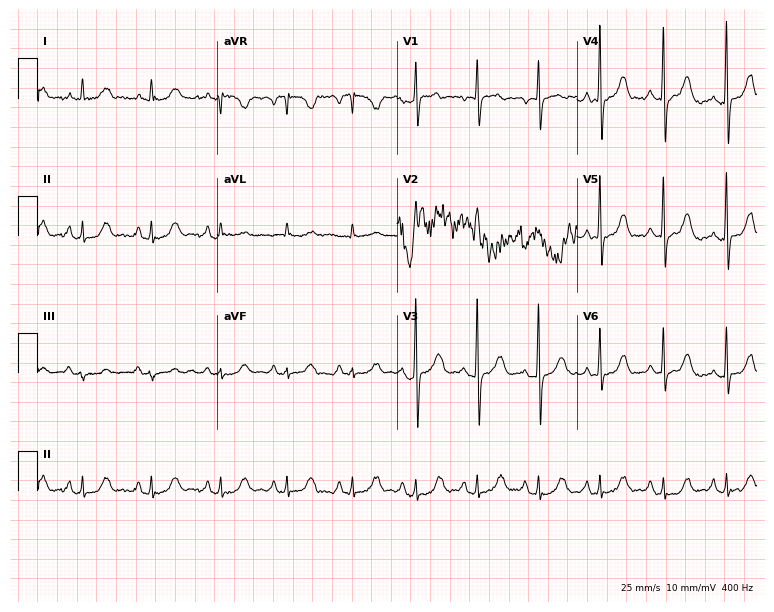
ECG — a 79-year-old woman. Screened for six findings — first-degree AV block, right bundle branch block, left bundle branch block, sinus bradycardia, atrial fibrillation, sinus tachycardia — none is recorded.